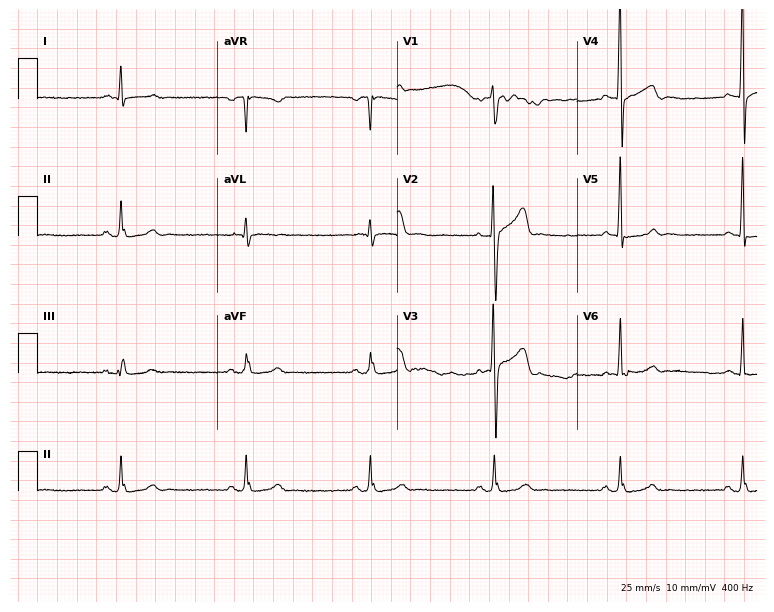
Electrocardiogram, a male patient, 56 years old. Interpretation includes sinus bradycardia (a sinus rate of 50 beats per minute or less).